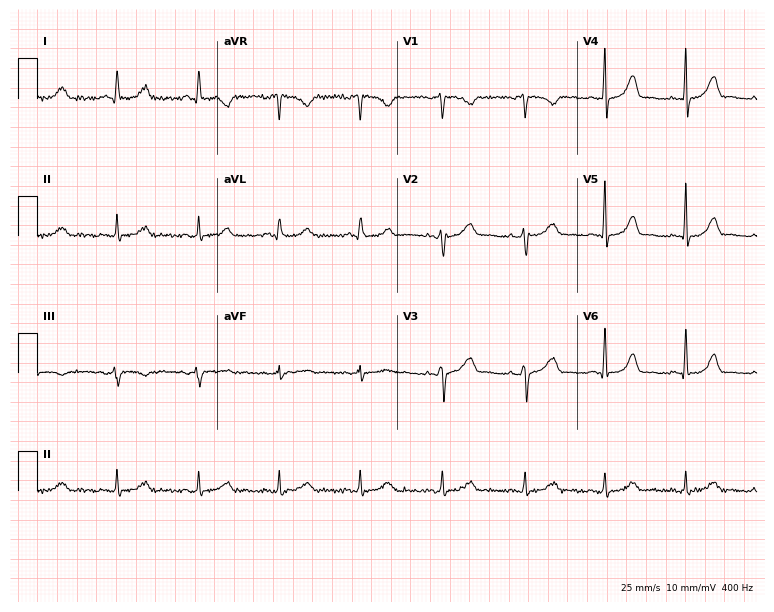
12-lead ECG (7.3-second recording at 400 Hz) from a woman, 50 years old. Labelled as a normal ECG.